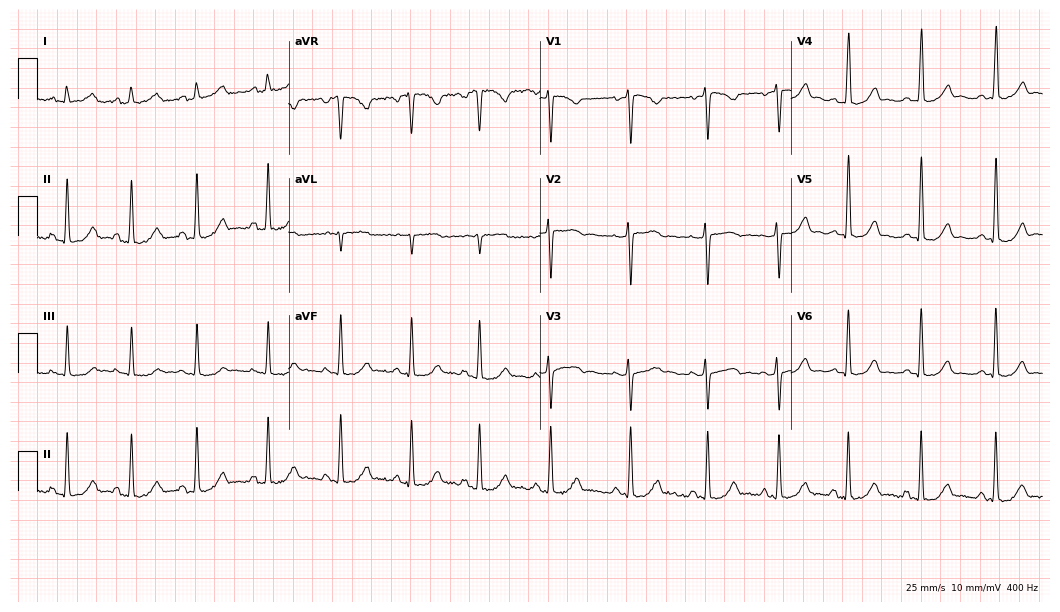
ECG (10.2-second recording at 400 Hz) — a female, 33 years old. Labelled as a normal ECG.